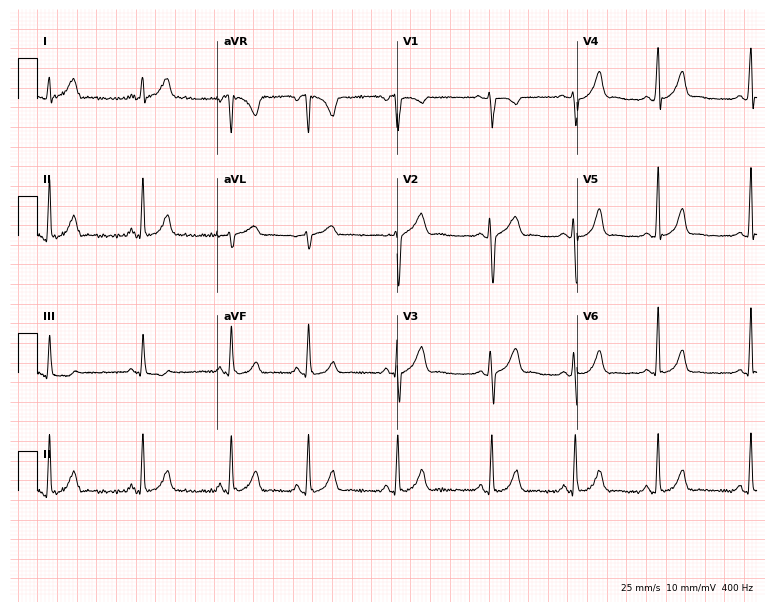
12-lead ECG from a female, 18 years old (7.3-second recording at 400 Hz). Recorded interpretation: within normal limits.